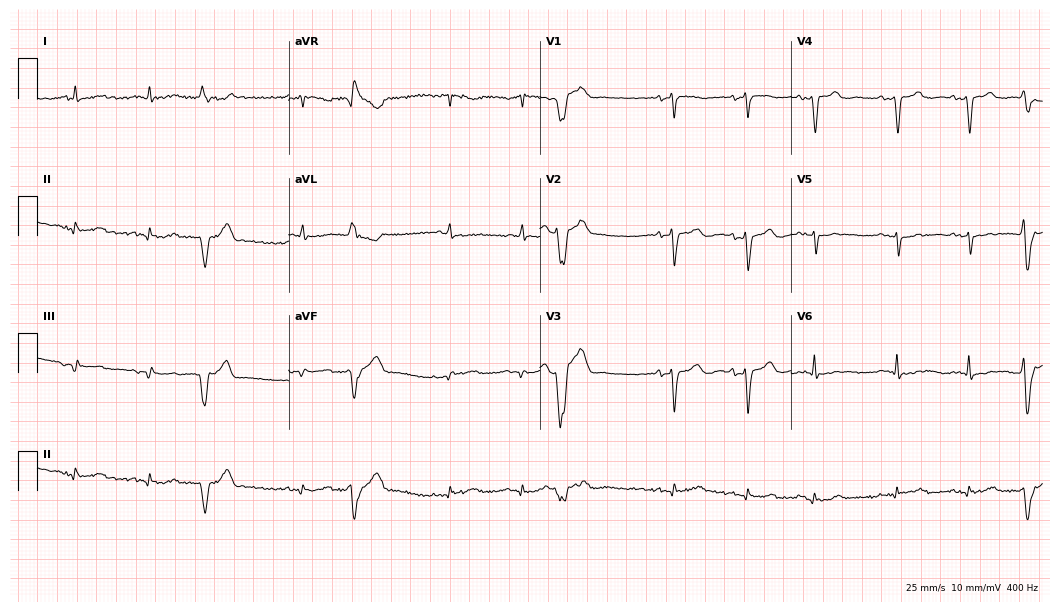
12-lead ECG (10.2-second recording at 400 Hz) from a man, 83 years old. Screened for six findings — first-degree AV block, right bundle branch block, left bundle branch block, sinus bradycardia, atrial fibrillation, sinus tachycardia — none is recorded.